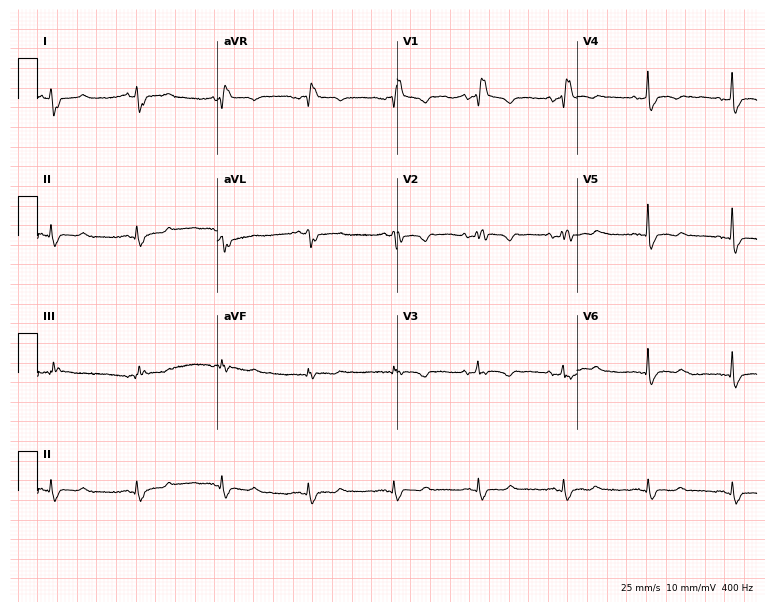
12-lead ECG from a woman, 48 years old (7.3-second recording at 400 Hz). Shows right bundle branch block.